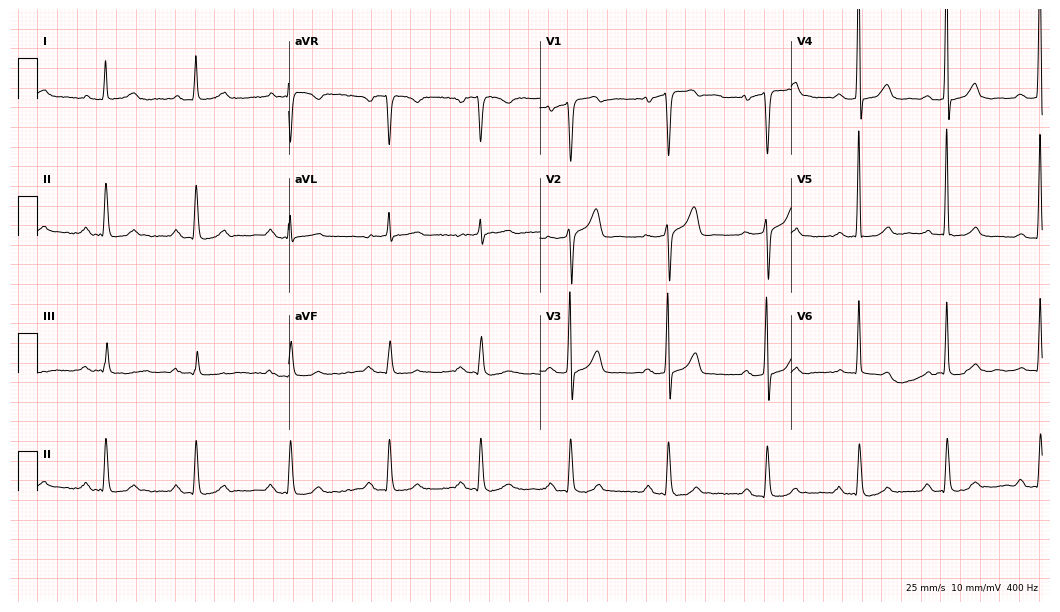
Resting 12-lead electrocardiogram (10.2-second recording at 400 Hz). Patient: a 75-year-old man. Read as a normal ECG.